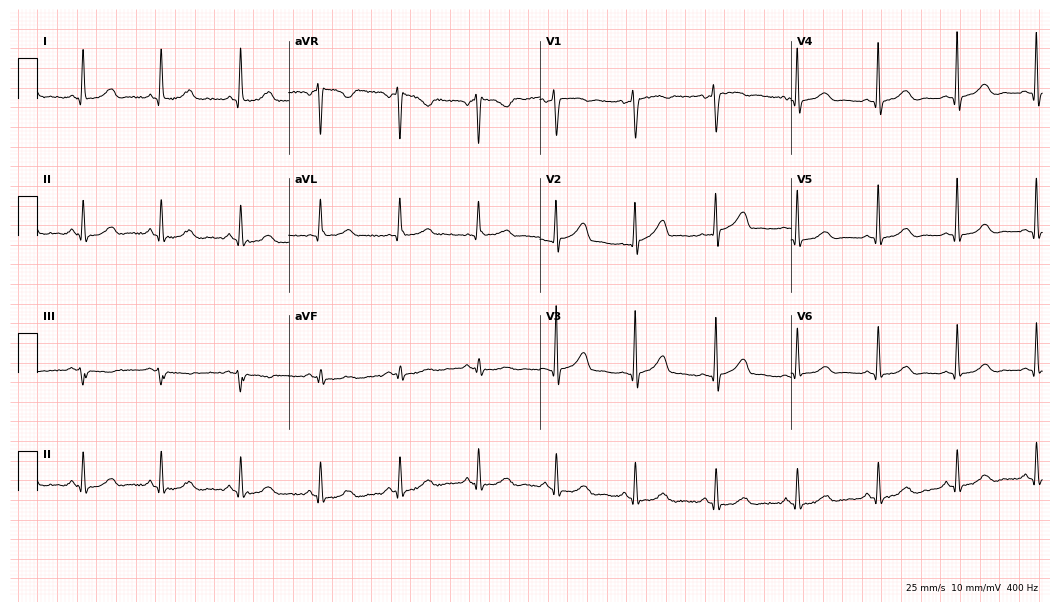
Standard 12-lead ECG recorded from a woman, 50 years old (10.2-second recording at 400 Hz). Read as a normal ECG.